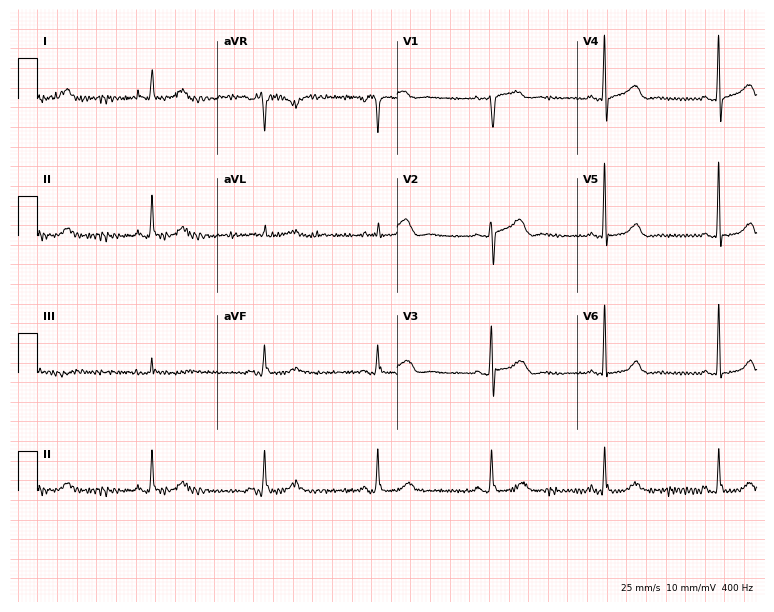
Electrocardiogram, a 68-year-old female patient. Of the six screened findings (first-degree AV block, right bundle branch block, left bundle branch block, sinus bradycardia, atrial fibrillation, sinus tachycardia), none is recorded.